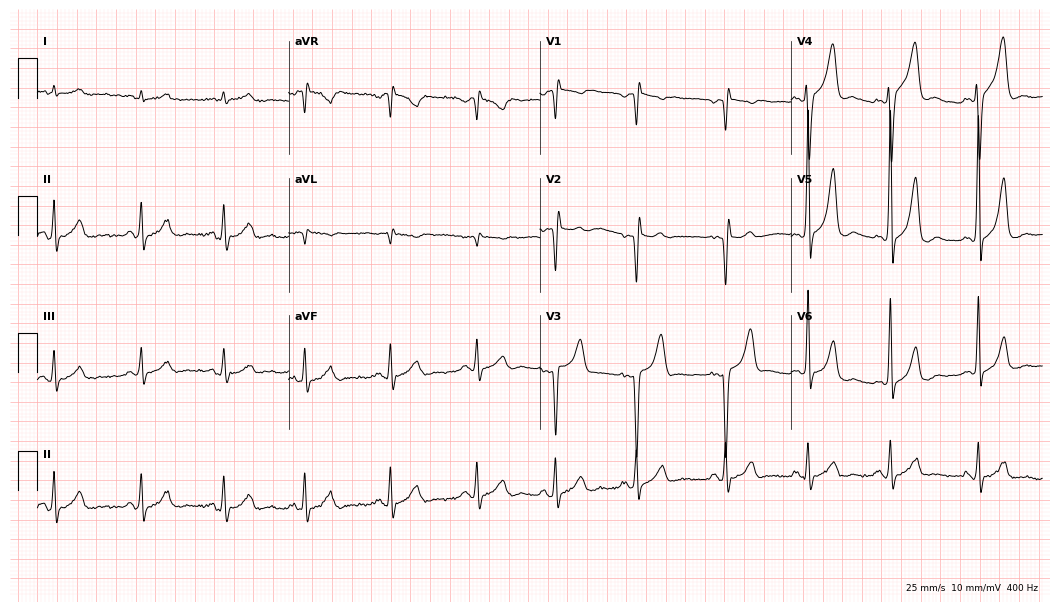
12-lead ECG from a 56-year-old man. No first-degree AV block, right bundle branch block (RBBB), left bundle branch block (LBBB), sinus bradycardia, atrial fibrillation (AF) or sinus tachycardia recorded for this tracing. Findings outside these six are not listed.